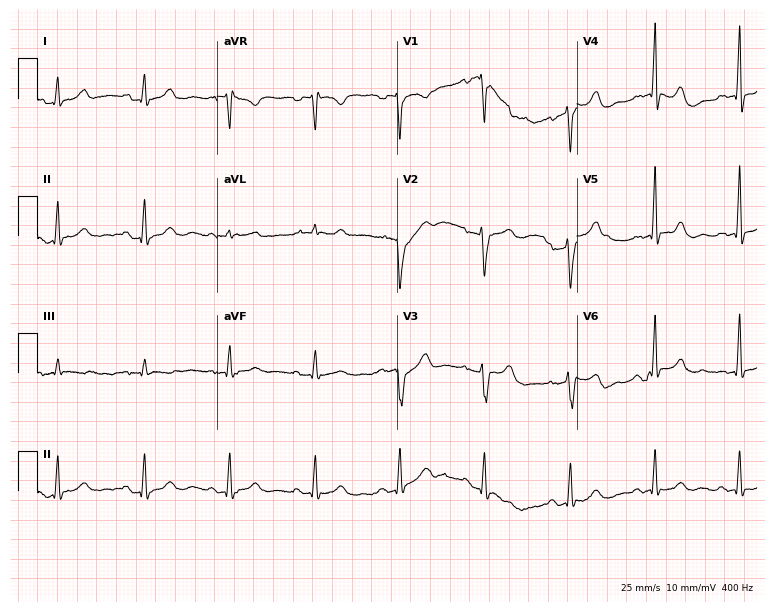
ECG (7.3-second recording at 400 Hz) — a female, 58 years old. Labelled as a normal ECG.